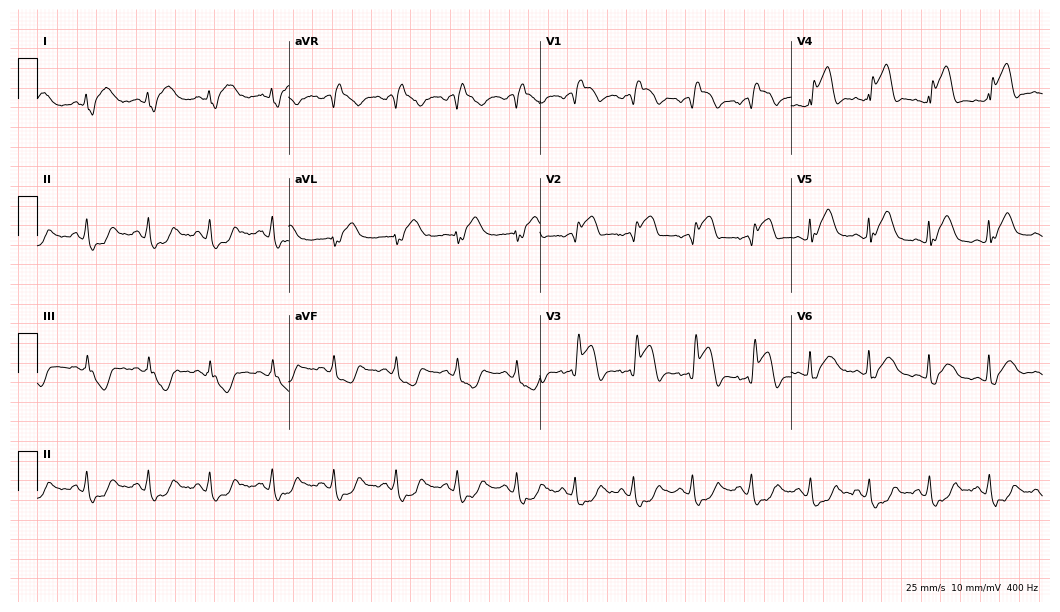
12-lead ECG from a male, 48 years old. Shows right bundle branch block.